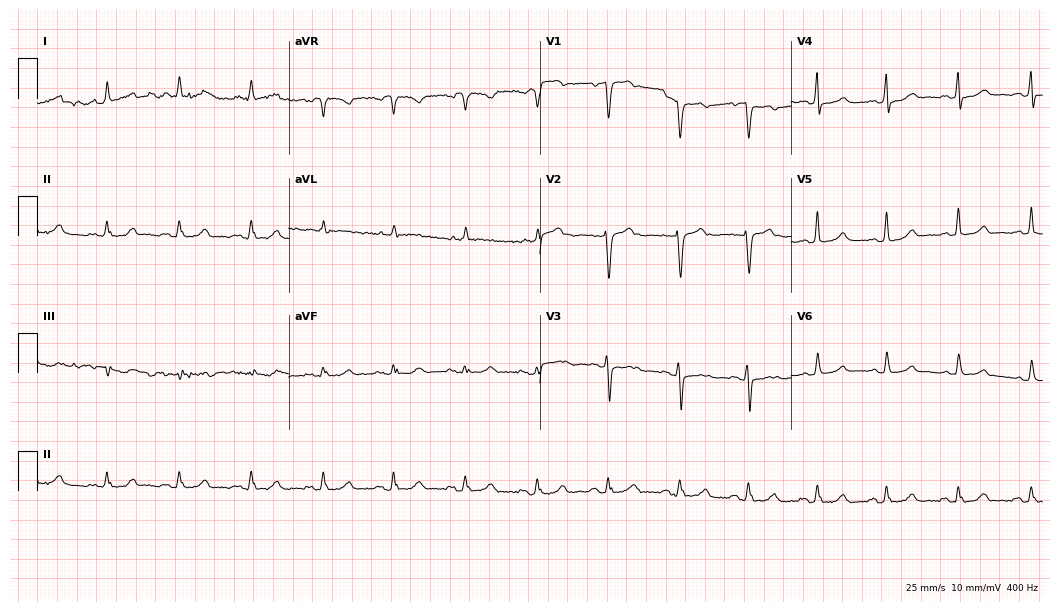
Electrocardiogram (10.2-second recording at 400 Hz), a female patient, 71 years old. Overall reading on record: normal ECG.